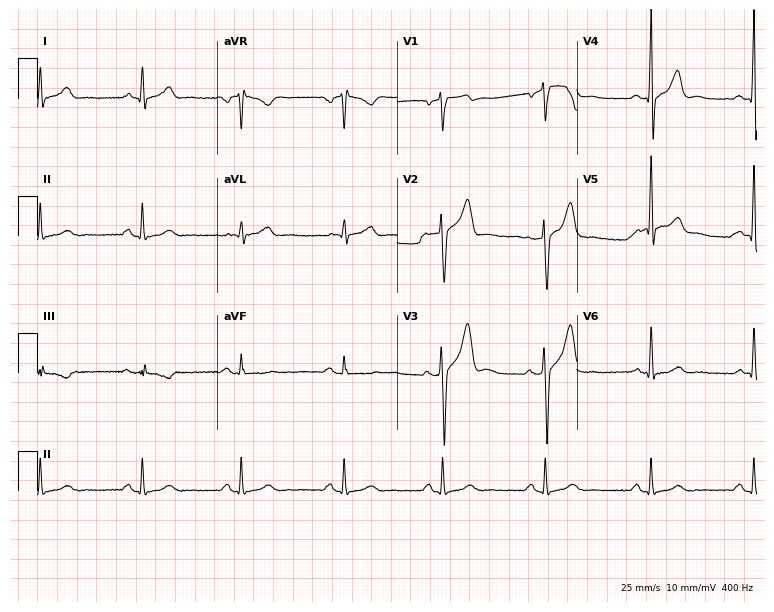
12-lead ECG from a 43-year-old male. Screened for six findings — first-degree AV block, right bundle branch block, left bundle branch block, sinus bradycardia, atrial fibrillation, sinus tachycardia — none is recorded. Other findings, if any, are not listed.